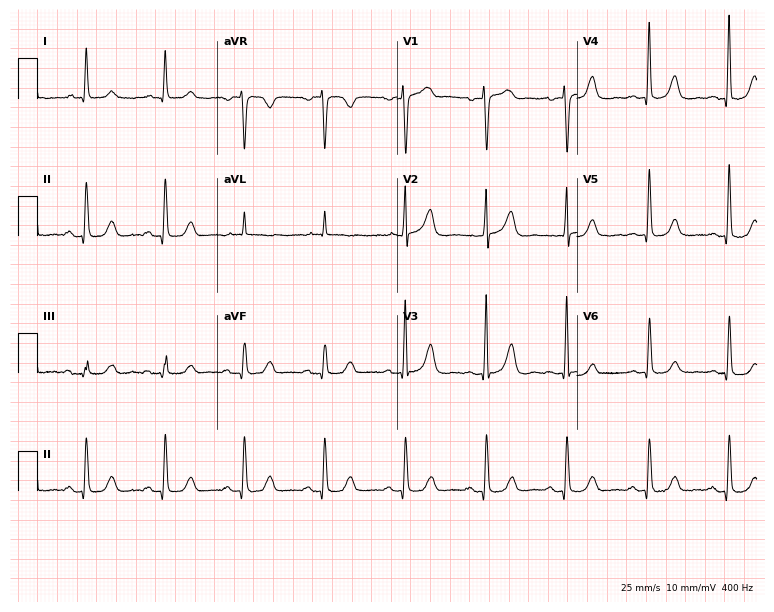
12-lead ECG from an 84-year-old woman. Recorded interpretation: within normal limits.